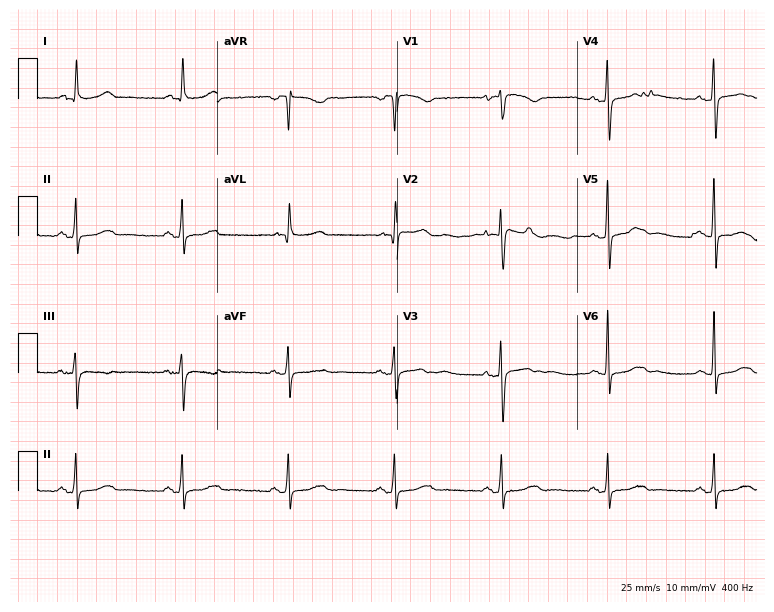
12-lead ECG from a female patient, 78 years old (7.3-second recording at 400 Hz). No first-degree AV block, right bundle branch block, left bundle branch block, sinus bradycardia, atrial fibrillation or sinus tachycardia recorded for this tracing. Findings outside these six are not listed.